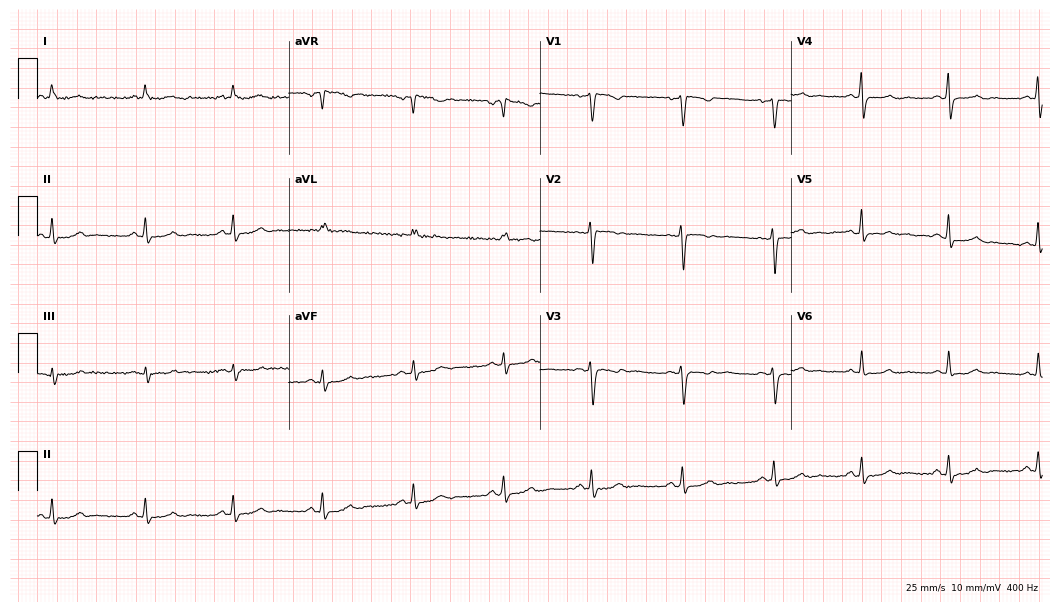
12-lead ECG from a woman, 39 years old. No first-degree AV block, right bundle branch block (RBBB), left bundle branch block (LBBB), sinus bradycardia, atrial fibrillation (AF) or sinus tachycardia recorded for this tracing.